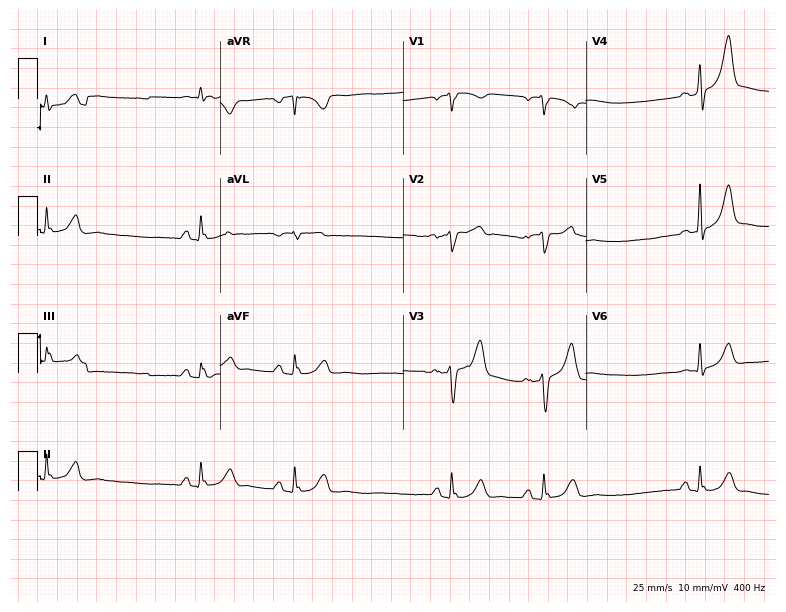
ECG (7.5-second recording at 400 Hz) — a male patient, 72 years old. Labelled as a normal ECG.